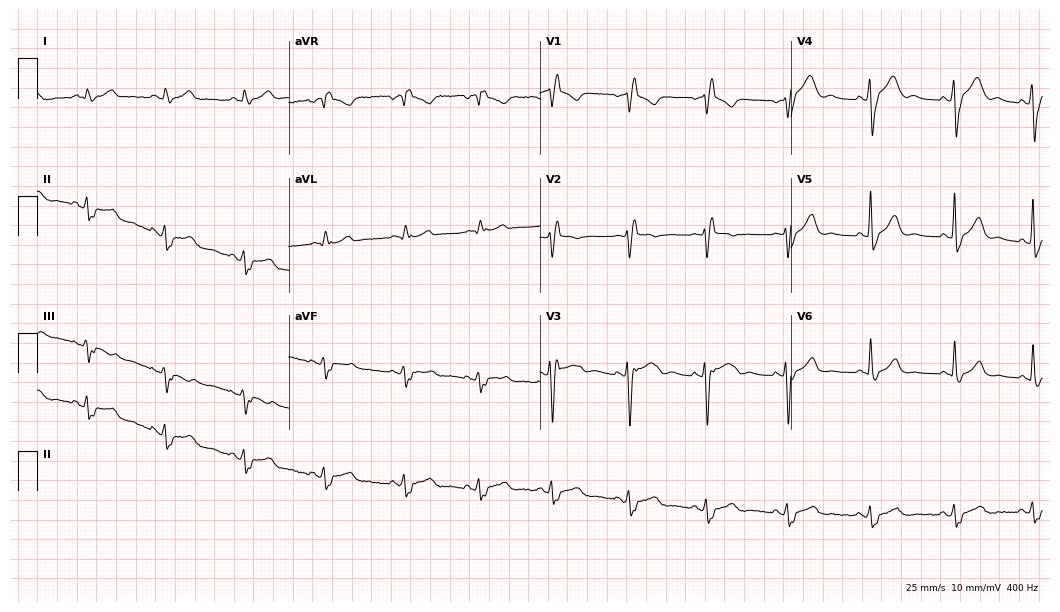
Standard 12-lead ECG recorded from a 33-year-old male. None of these six findings is recorded: first-degree AV block, right bundle branch block, left bundle branch block, sinus bradycardia, atrial fibrillation, sinus tachycardia. Only these six findings were labelled.